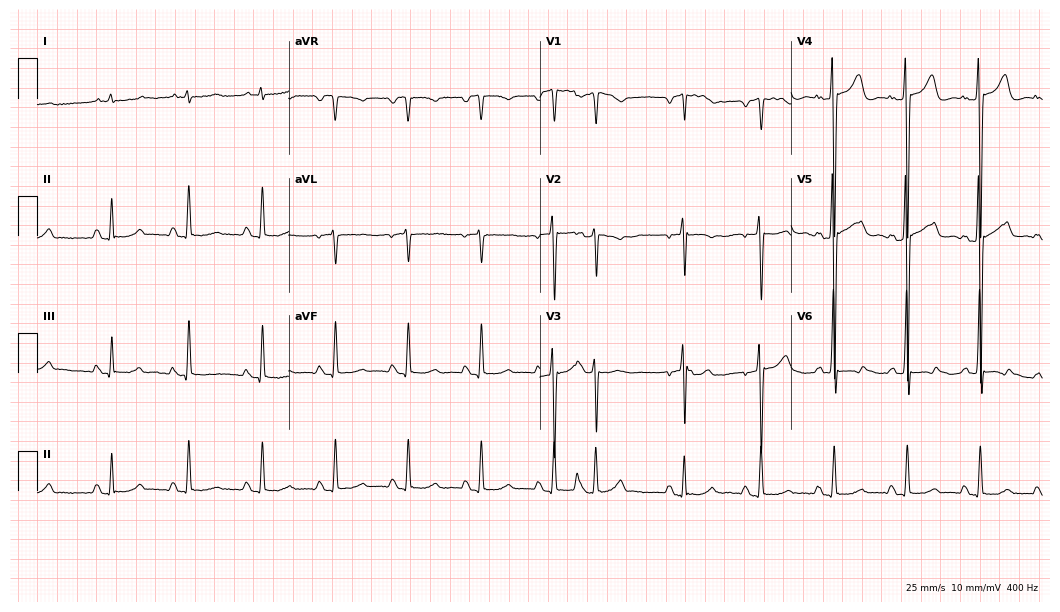
ECG (10.2-second recording at 400 Hz) — an 87-year-old female. Screened for six findings — first-degree AV block, right bundle branch block (RBBB), left bundle branch block (LBBB), sinus bradycardia, atrial fibrillation (AF), sinus tachycardia — none is recorded. Other findings, if any, are not listed.